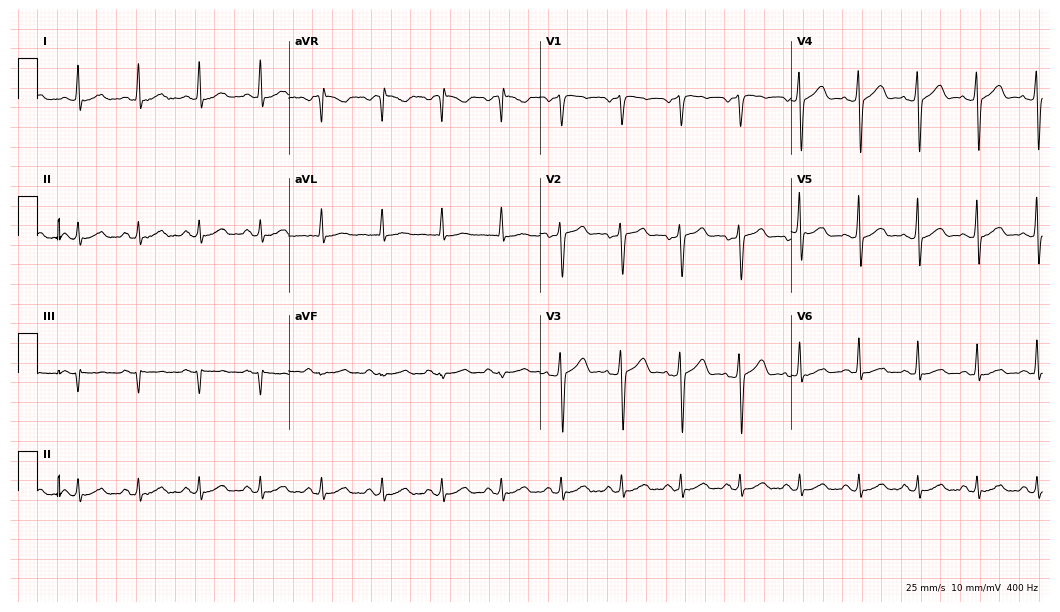
ECG (10.2-second recording at 400 Hz) — a male patient, 43 years old. Screened for six findings — first-degree AV block, right bundle branch block, left bundle branch block, sinus bradycardia, atrial fibrillation, sinus tachycardia — none is recorded. Findings outside these six are not listed.